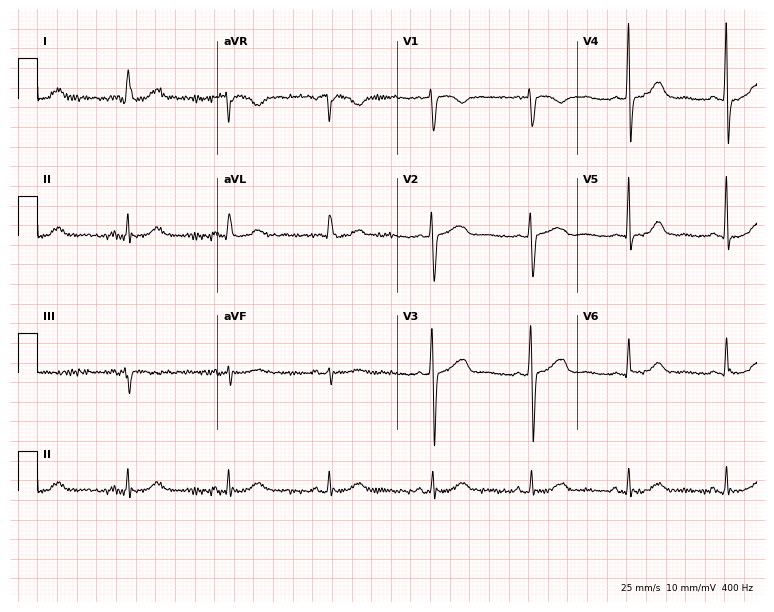
Electrocardiogram, a woman, 68 years old. Of the six screened findings (first-degree AV block, right bundle branch block (RBBB), left bundle branch block (LBBB), sinus bradycardia, atrial fibrillation (AF), sinus tachycardia), none is recorded. Other findings, if any, are not listed.